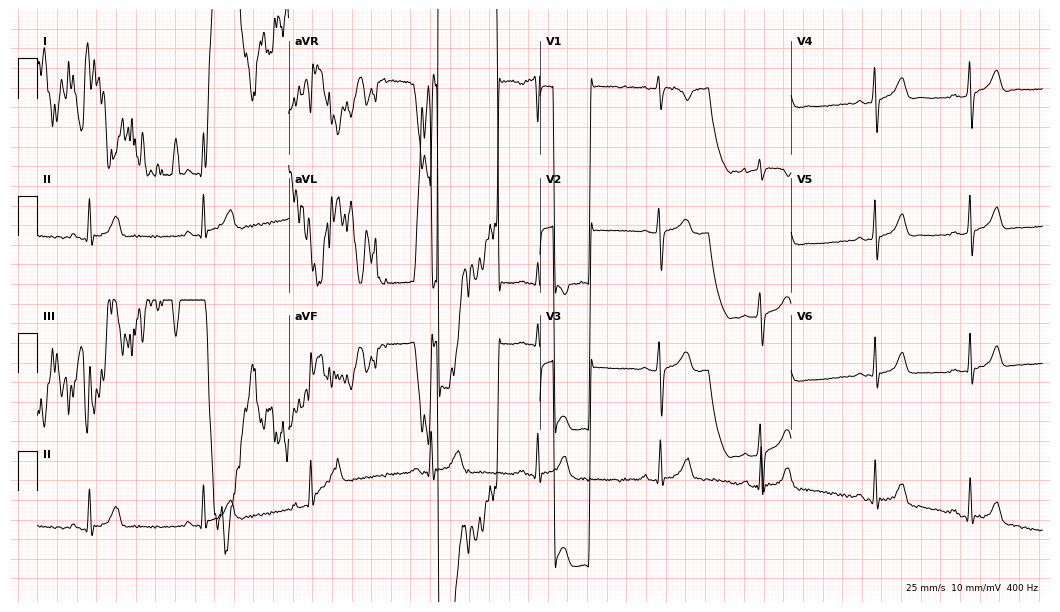
Standard 12-lead ECG recorded from a female, 18 years old. None of these six findings is recorded: first-degree AV block, right bundle branch block (RBBB), left bundle branch block (LBBB), sinus bradycardia, atrial fibrillation (AF), sinus tachycardia. Other findings, if any, are not listed.